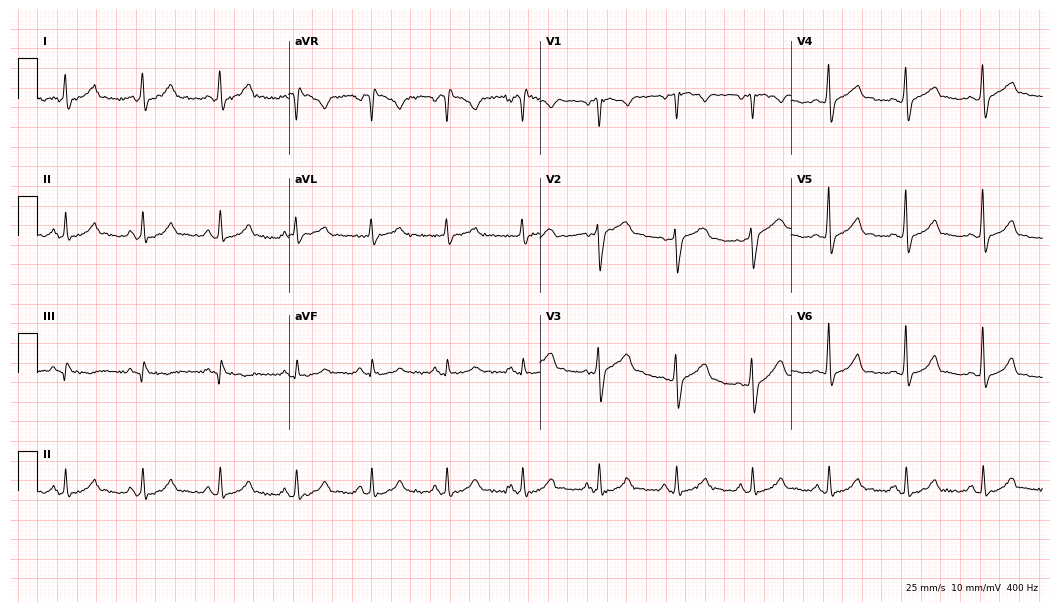
Electrocardiogram (10.2-second recording at 400 Hz), a 40-year-old male. Of the six screened findings (first-degree AV block, right bundle branch block, left bundle branch block, sinus bradycardia, atrial fibrillation, sinus tachycardia), none is recorded. Only these six findings were labelled.